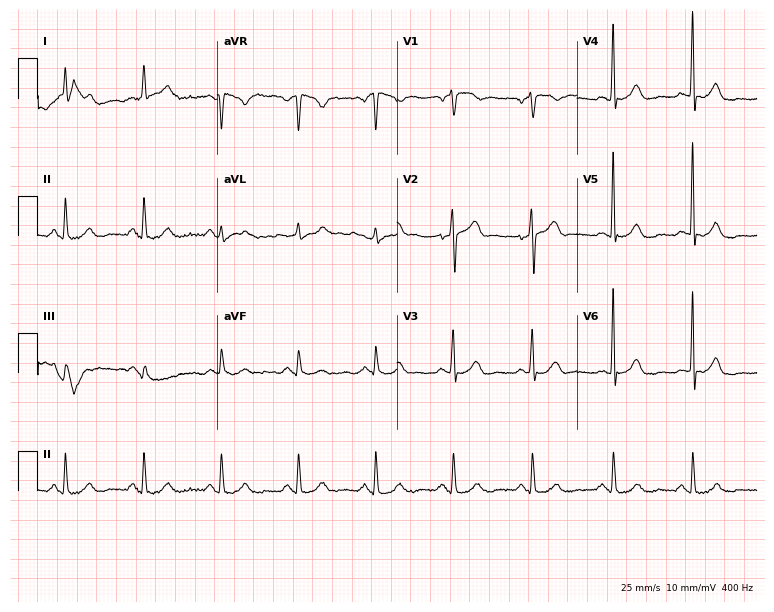
Standard 12-lead ECG recorded from a 74-year-old male. Read as a normal ECG.